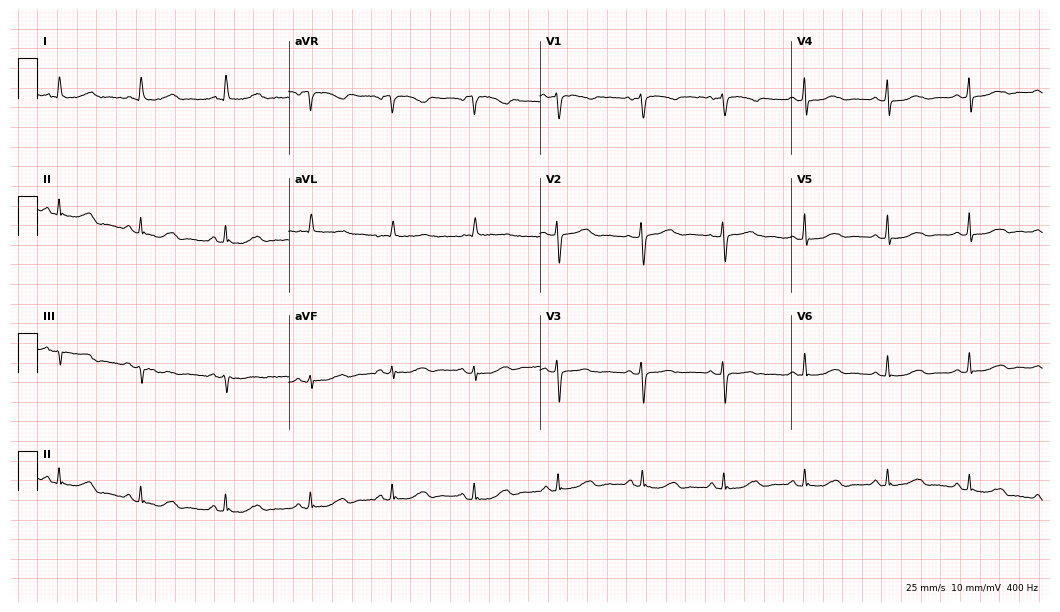
12-lead ECG from a woman, 64 years old (10.2-second recording at 400 Hz). No first-degree AV block, right bundle branch block (RBBB), left bundle branch block (LBBB), sinus bradycardia, atrial fibrillation (AF) or sinus tachycardia recorded for this tracing. Findings outside these six are not listed.